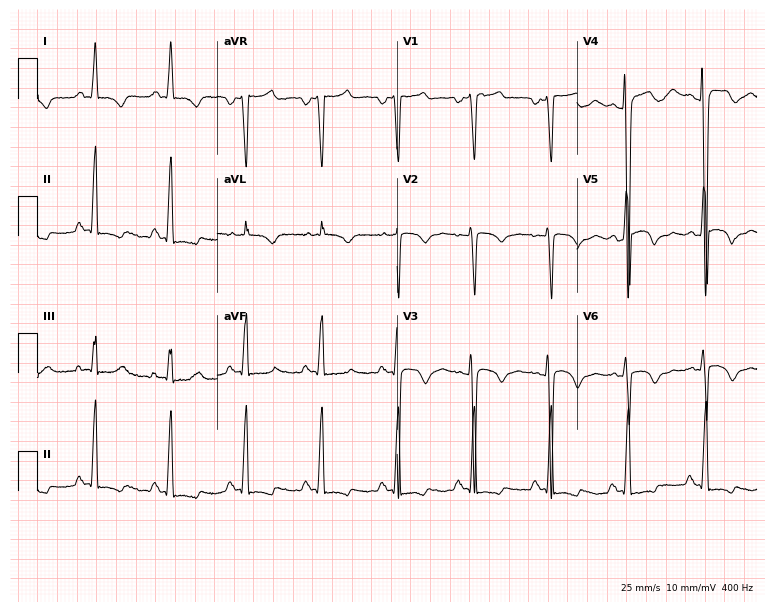
Resting 12-lead electrocardiogram. Patient: a 32-year-old man. None of these six findings is recorded: first-degree AV block, right bundle branch block (RBBB), left bundle branch block (LBBB), sinus bradycardia, atrial fibrillation (AF), sinus tachycardia.